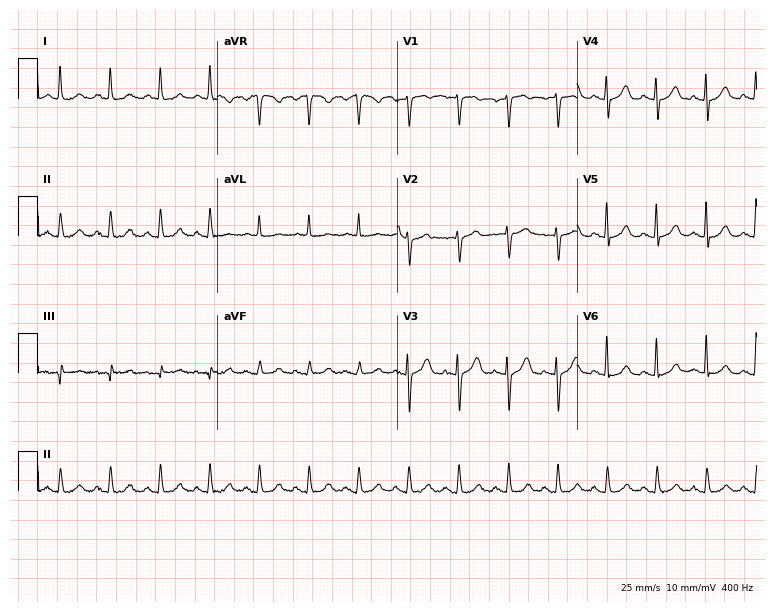
12-lead ECG from a 72-year-old woman. Screened for six findings — first-degree AV block, right bundle branch block, left bundle branch block, sinus bradycardia, atrial fibrillation, sinus tachycardia — none is recorded. Other findings, if any, are not listed.